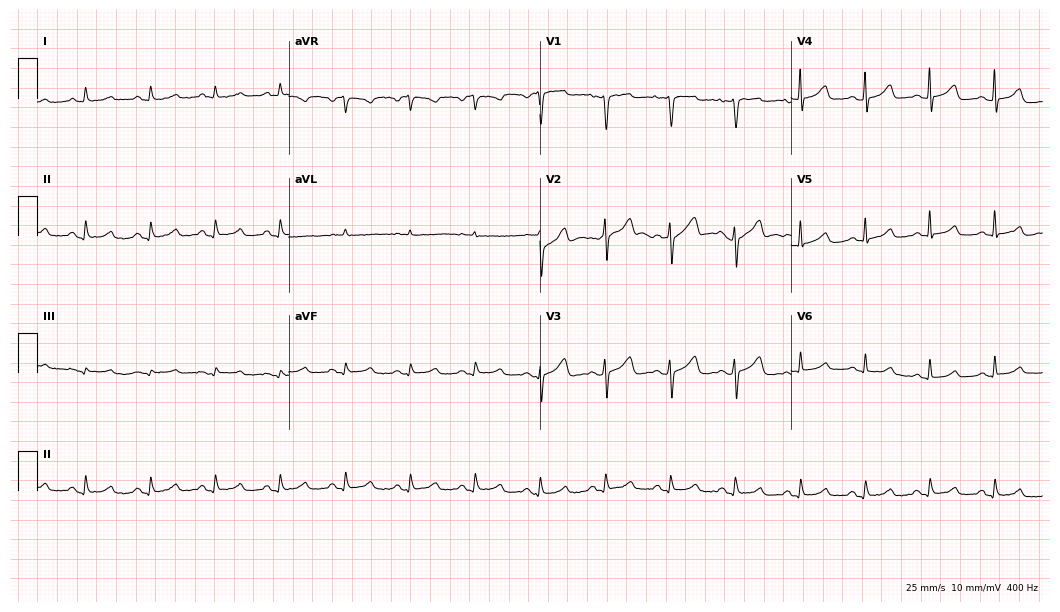
Resting 12-lead electrocardiogram (10.2-second recording at 400 Hz). Patient: a 63-year-old female. Read as a normal ECG.